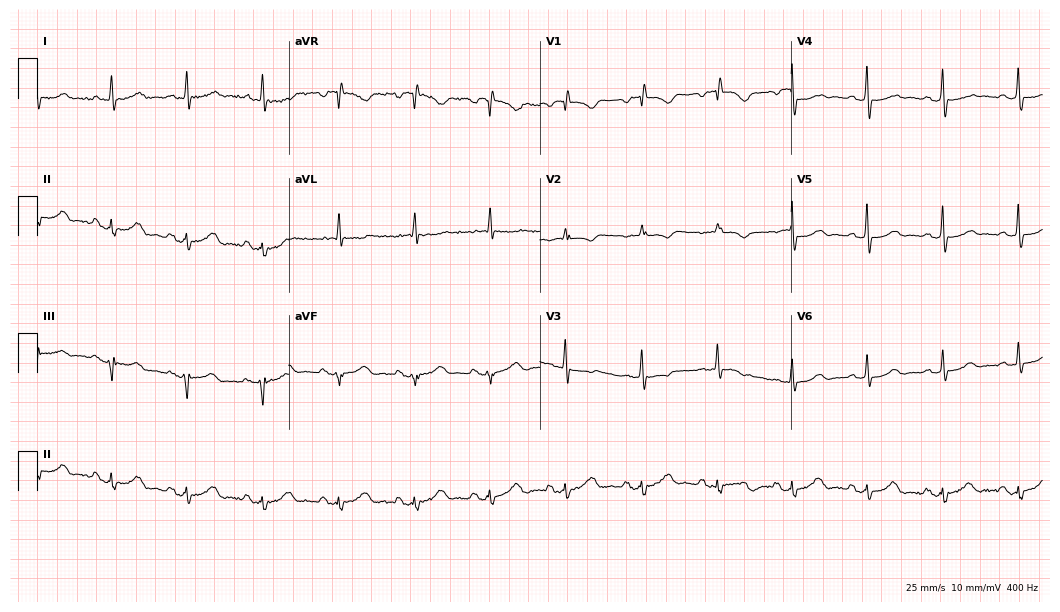
12-lead ECG from a 75-year-old female patient. Screened for six findings — first-degree AV block, right bundle branch block, left bundle branch block, sinus bradycardia, atrial fibrillation, sinus tachycardia — none is recorded.